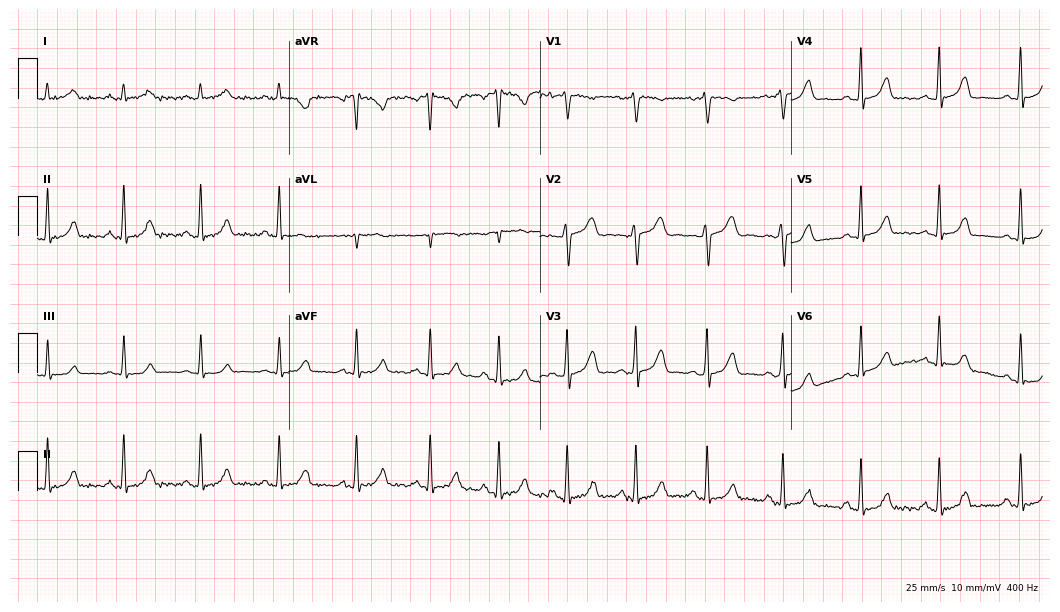
Resting 12-lead electrocardiogram (10.2-second recording at 400 Hz). Patient: a 39-year-old female. Read as a normal ECG.